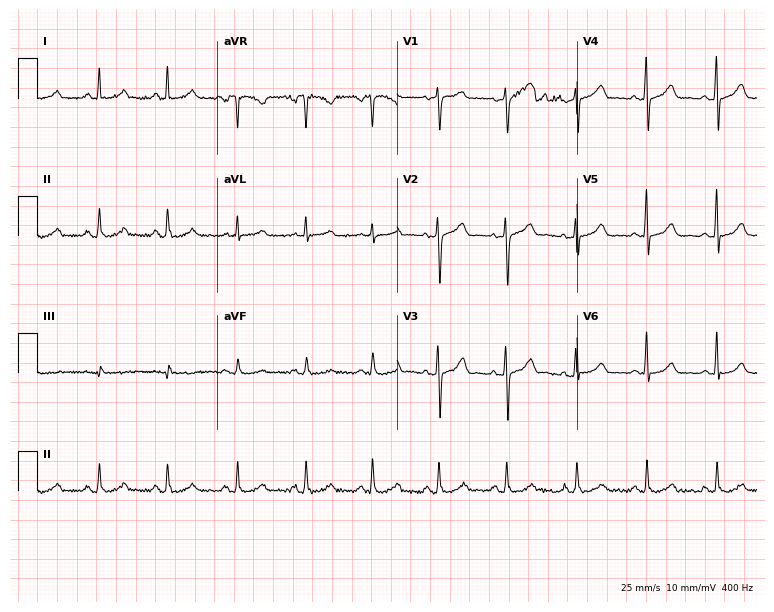
Resting 12-lead electrocardiogram. Patient: a 44-year-old woman. None of these six findings is recorded: first-degree AV block, right bundle branch block (RBBB), left bundle branch block (LBBB), sinus bradycardia, atrial fibrillation (AF), sinus tachycardia.